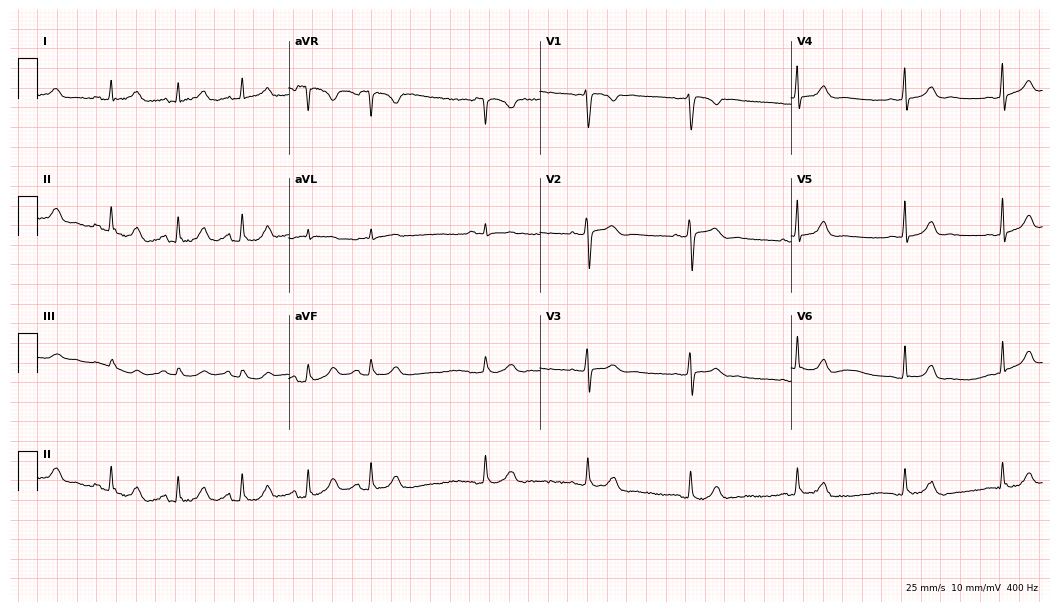
Standard 12-lead ECG recorded from a woman, 26 years old (10.2-second recording at 400 Hz). Read as a normal ECG.